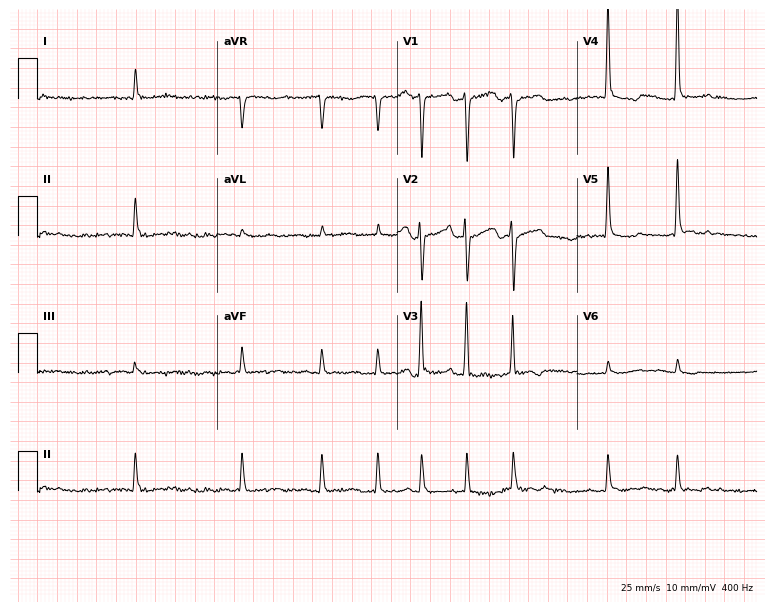
ECG — a 73-year-old man. Findings include atrial fibrillation.